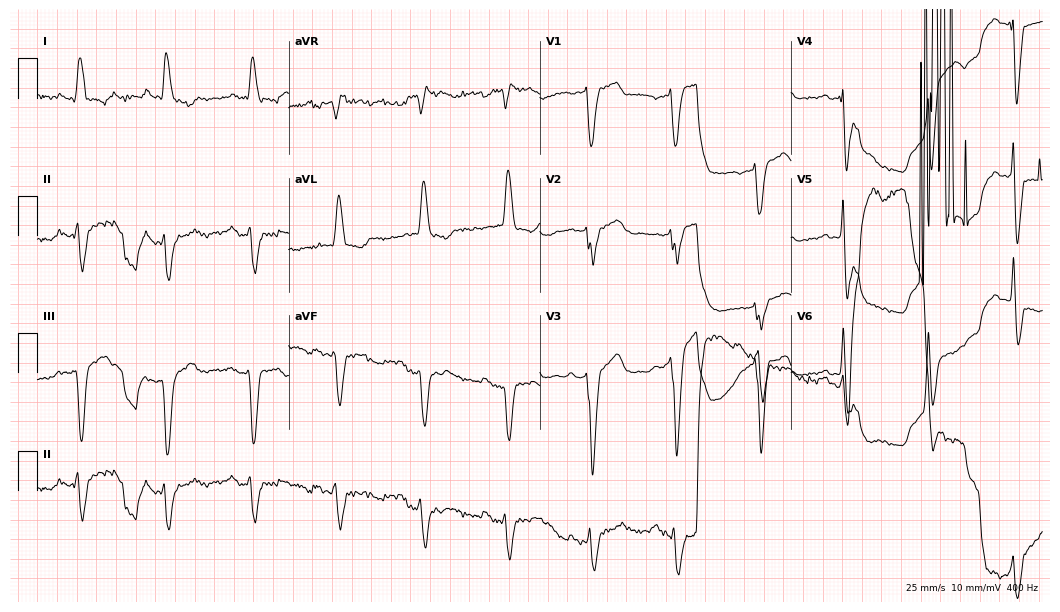
Resting 12-lead electrocardiogram (10.2-second recording at 400 Hz). Patient: a male, 34 years old. None of these six findings is recorded: first-degree AV block, right bundle branch block, left bundle branch block, sinus bradycardia, atrial fibrillation, sinus tachycardia.